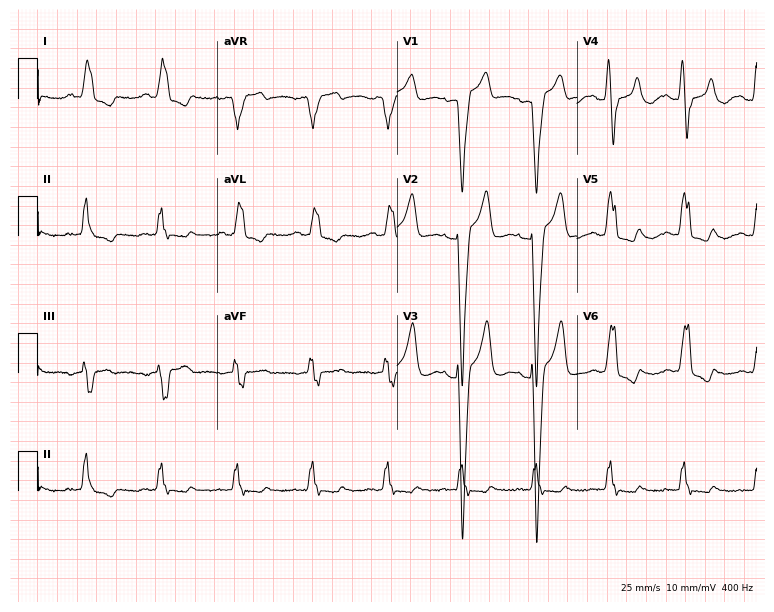
Standard 12-lead ECG recorded from a female patient, 66 years old. The tracing shows left bundle branch block (LBBB).